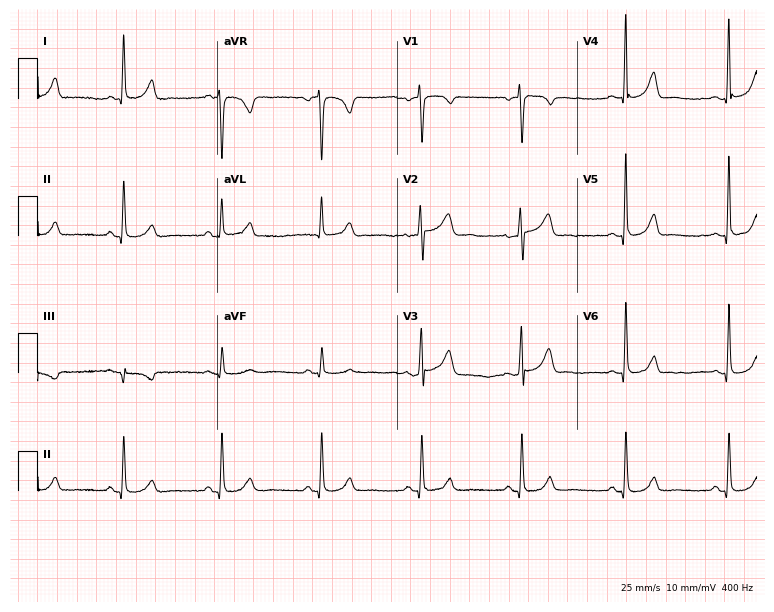
Resting 12-lead electrocardiogram. Patient: a woman, 55 years old. Read as a normal ECG.